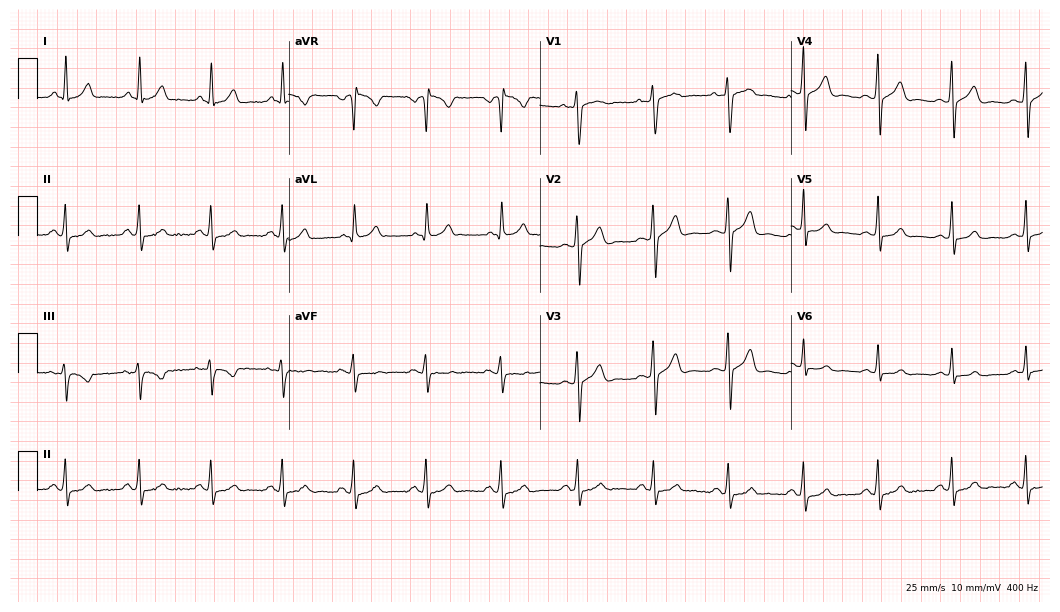
12-lead ECG from a male, 37 years old. Labelled as a normal ECG.